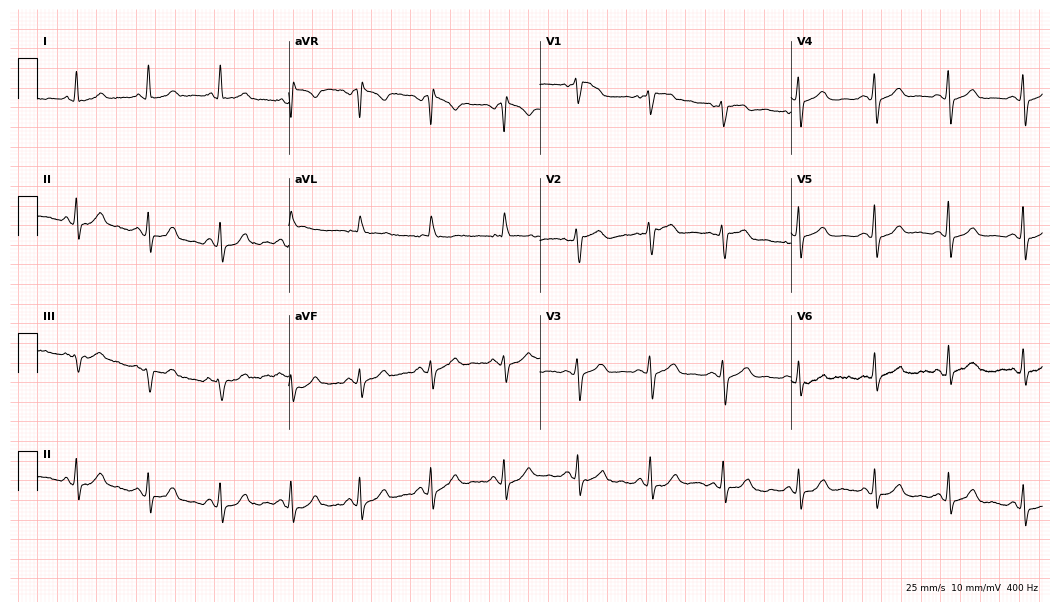
ECG — a woman, 59 years old. Labelled as a normal ECG.